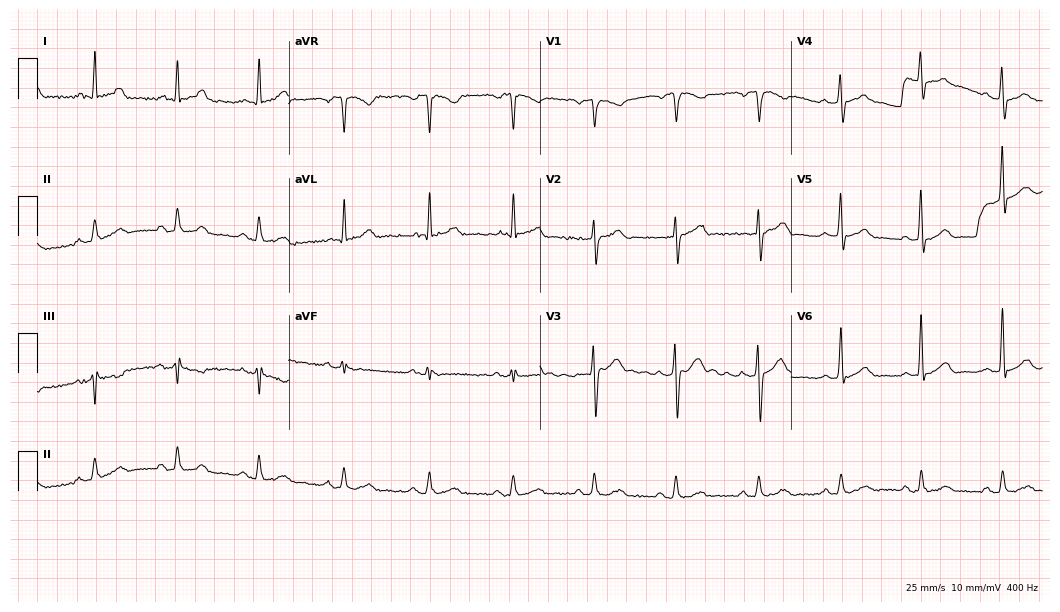
12-lead ECG from a 49-year-old man. Recorded interpretation: within normal limits.